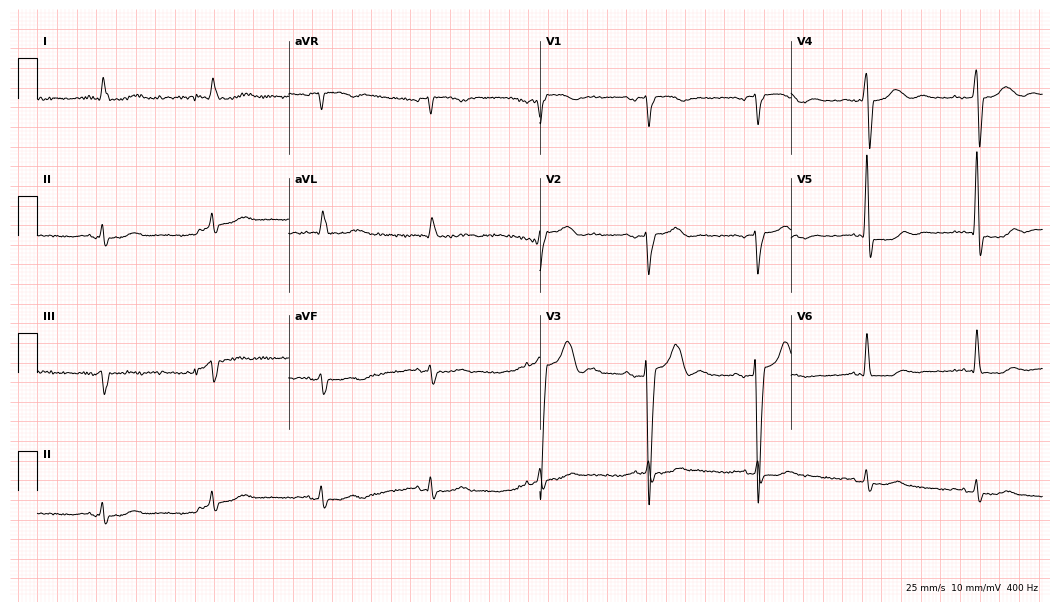
12-lead ECG from a male patient, 85 years old. Screened for six findings — first-degree AV block, right bundle branch block (RBBB), left bundle branch block (LBBB), sinus bradycardia, atrial fibrillation (AF), sinus tachycardia — none is recorded.